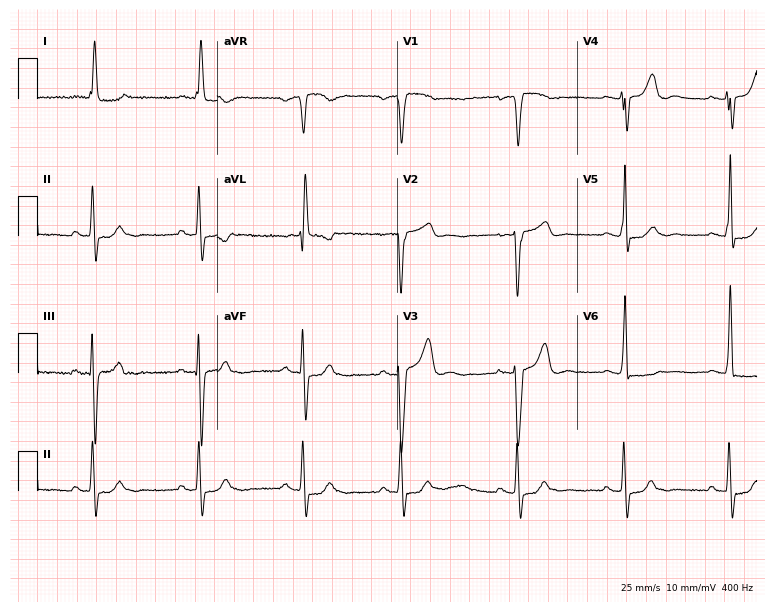
ECG — an 84-year-old female patient. Screened for six findings — first-degree AV block, right bundle branch block, left bundle branch block, sinus bradycardia, atrial fibrillation, sinus tachycardia — none is recorded.